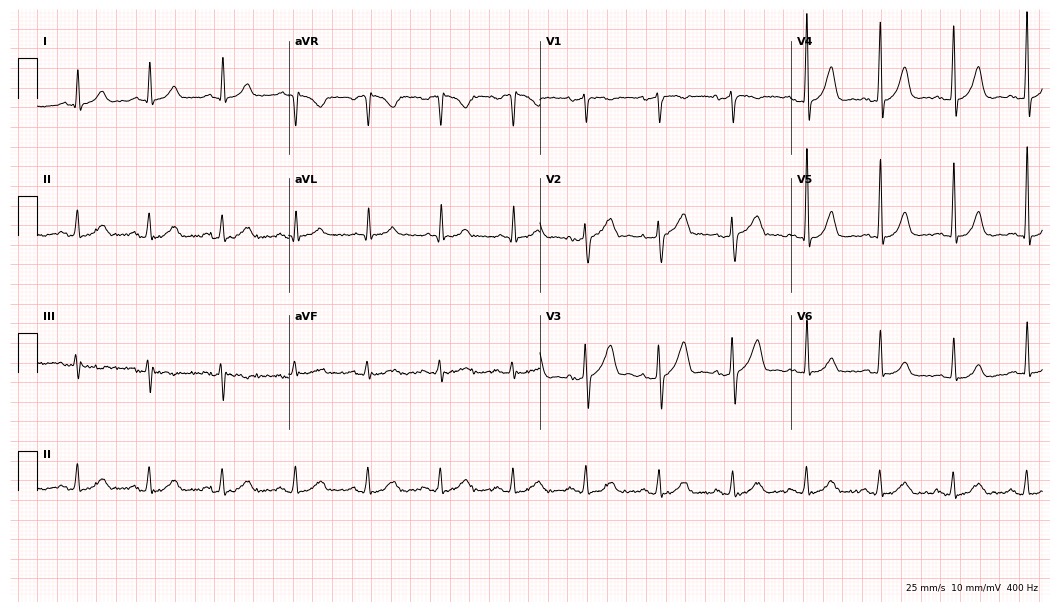
Resting 12-lead electrocardiogram (10.2-second recording at 400 Hz). Patient: a male, 66 years old. None of these six findings is recorded: first-degree AV block, right bundle branch block, left bundle branch block, sinus bradycardia, atrial fibrillation, sinus tachycardia. Other findings, if any, are not listed.